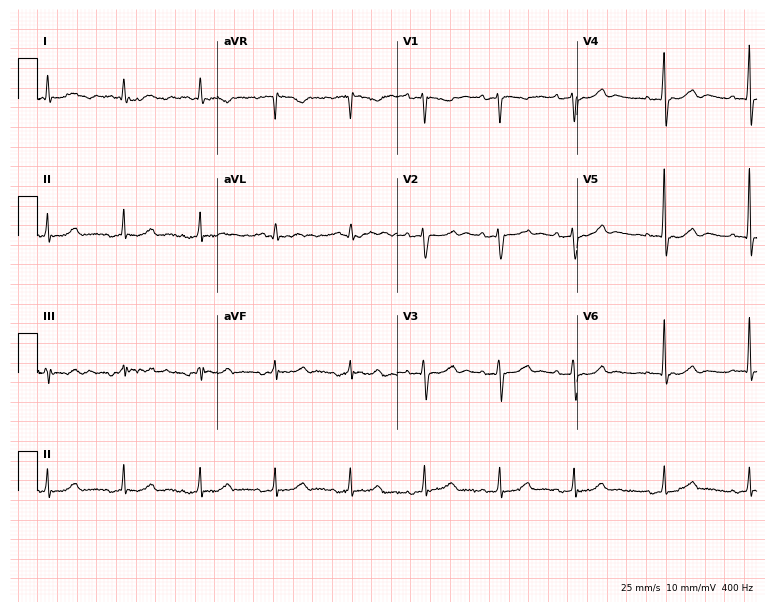
12-lead ECG (7.3-second recording at 400 Hz) from a female patient, 83 years old. Labelled as a normal ECG.